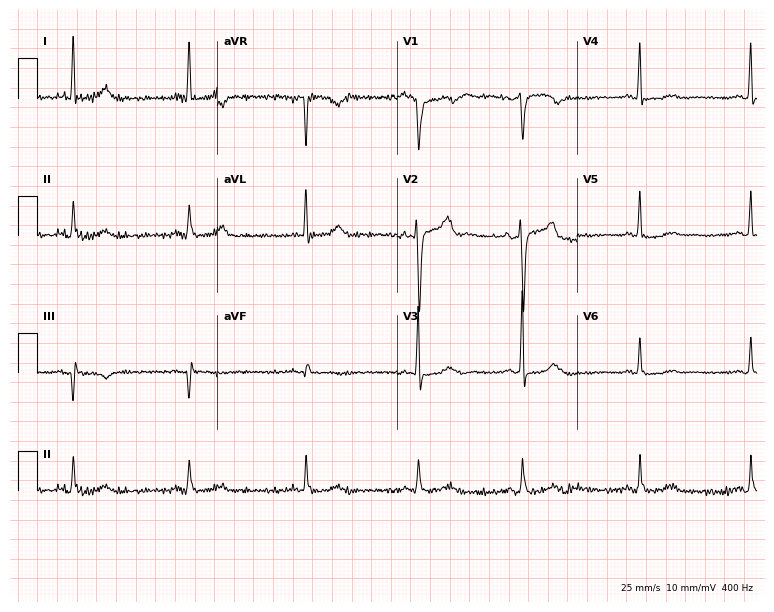
12-lead ECG (7.3-second recording at 400 Hz) from a man, 75 years old. Labelled as a normal ECG.